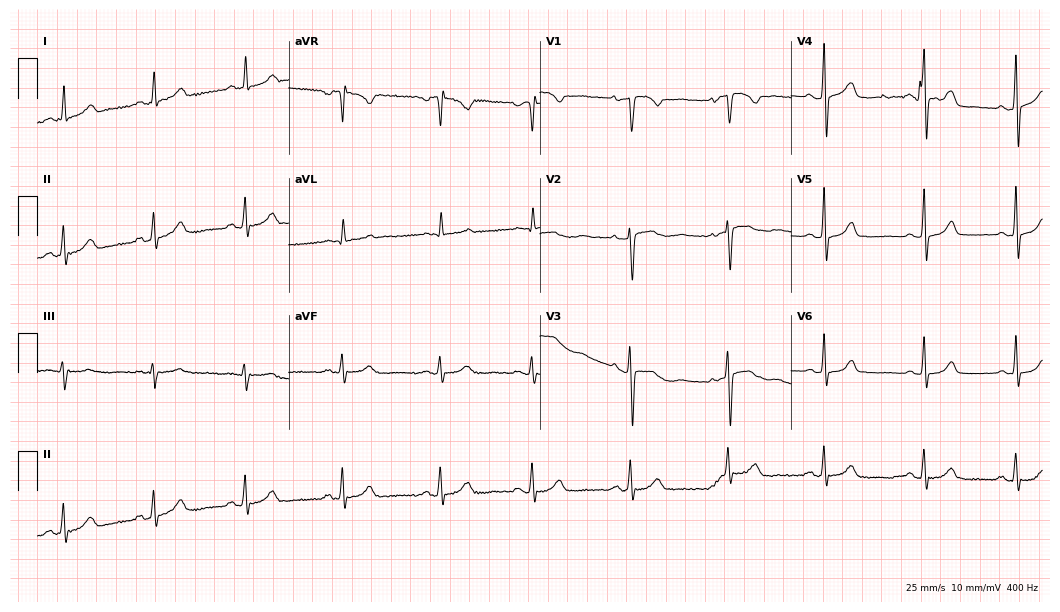
12-lead ECG from a 32-year-old female (10.2-second recording at 400 Hz). Recorded interpretation: within normal limits.